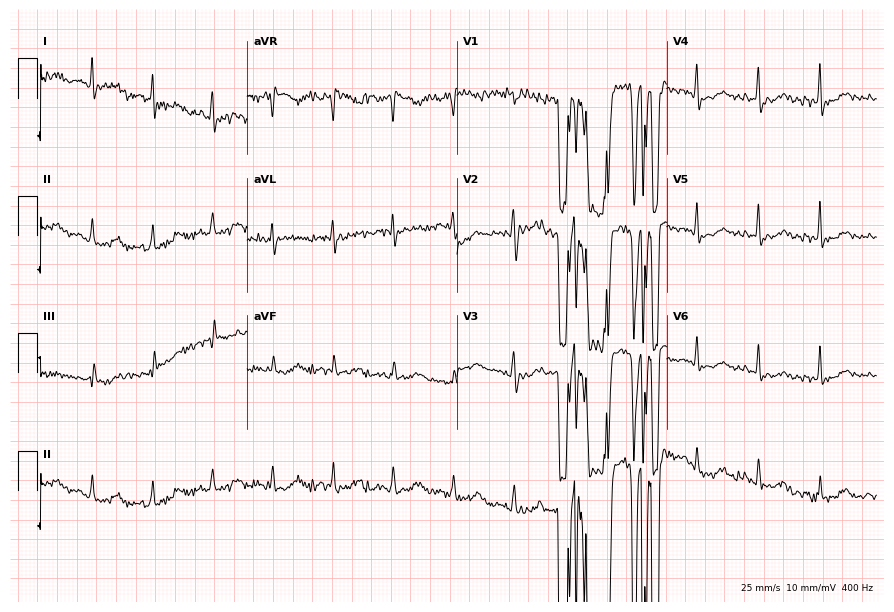
Electrocardiogram, a 25-year-old female patient. Of the six screened findings (first-degree AV block, right bundle branch block (RBBB), left bundle branch block (LBBB), sinus bradycardia, atrial fibrillation (AF), sinus tachycardia), none is recorded. Findings outside these six are not listed.